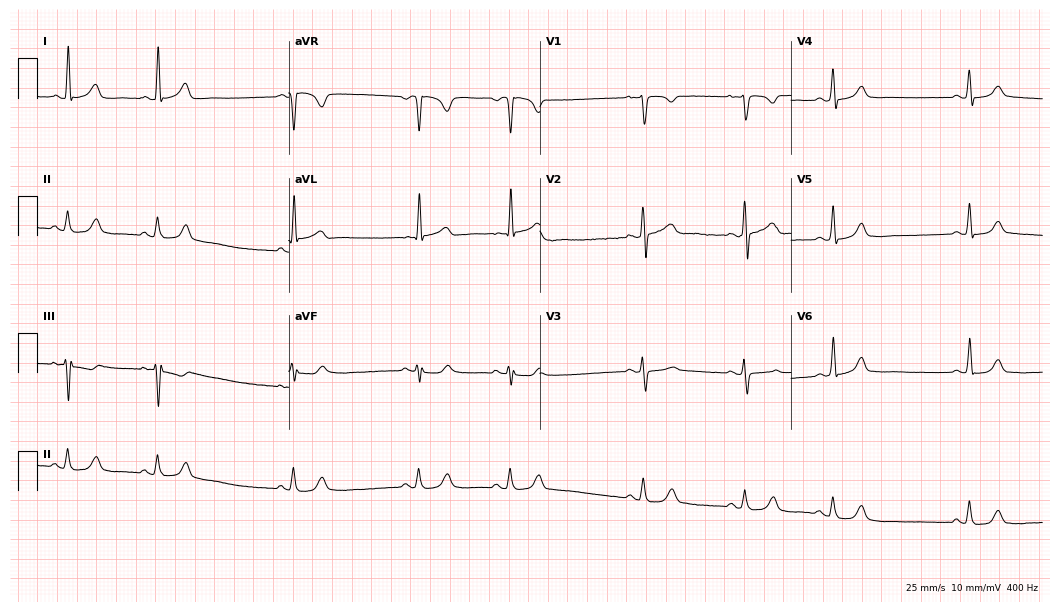
Resting 12-lead electrocardiogram. Patient: a female, 19 years old. Read as a normal ECG.